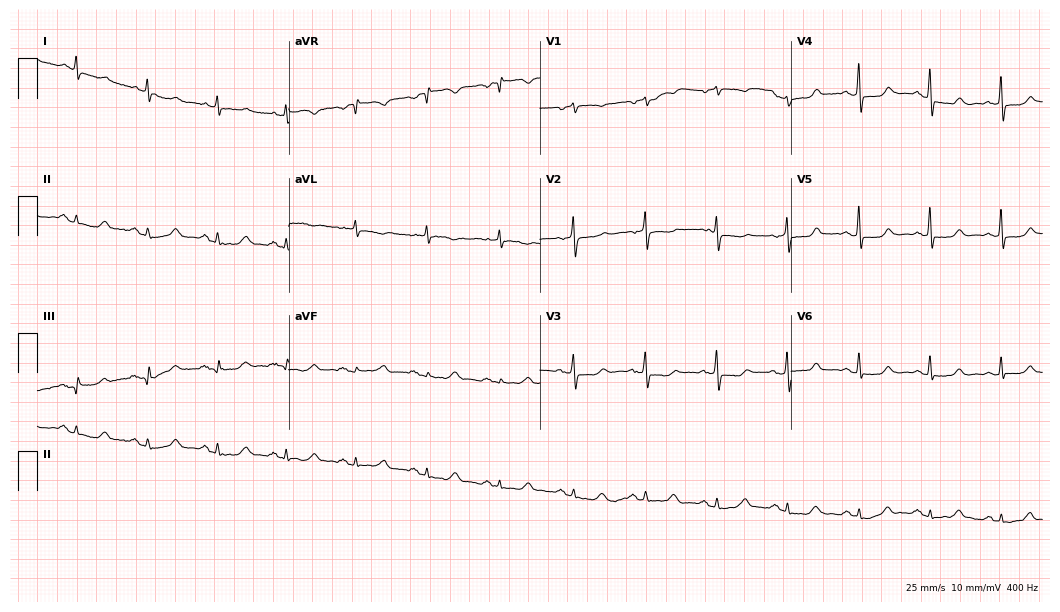
12-lead ECG from a female, 60 years old (10.2-second recording at 400 Hz). Recorded interpretation: within normal limits.